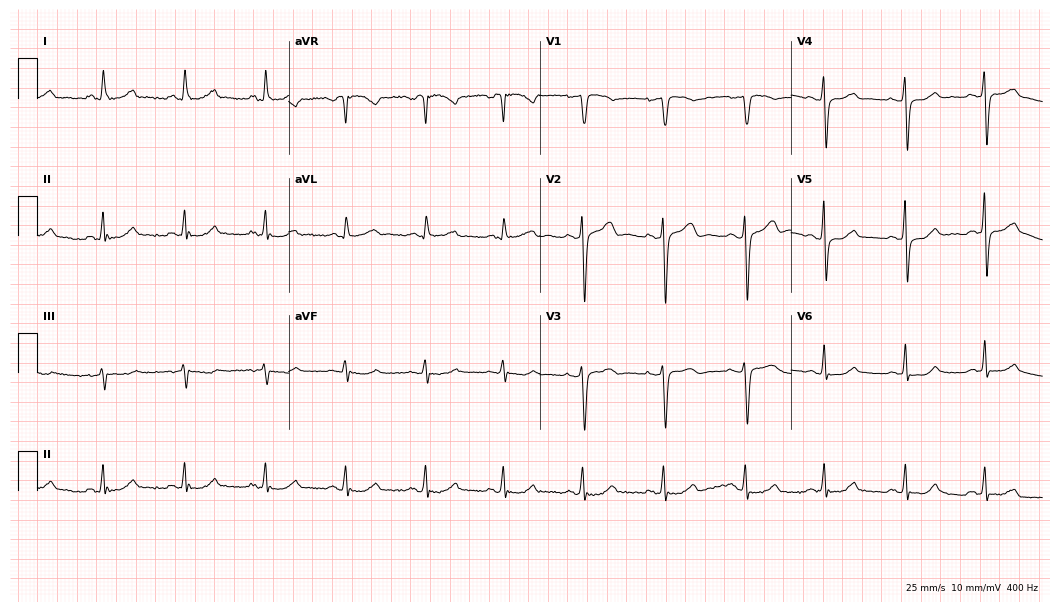
12-lead ECG from a 47-year-old female patient. Recorded interpretation: within normal limits.